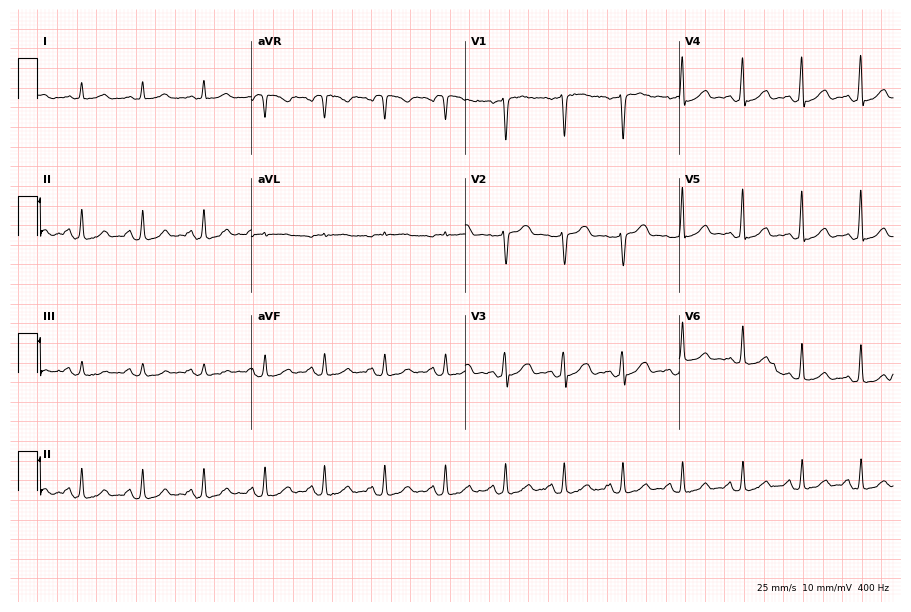
12-lead ECG from a male patient, 49 years old. Labelled as a normal ECG.